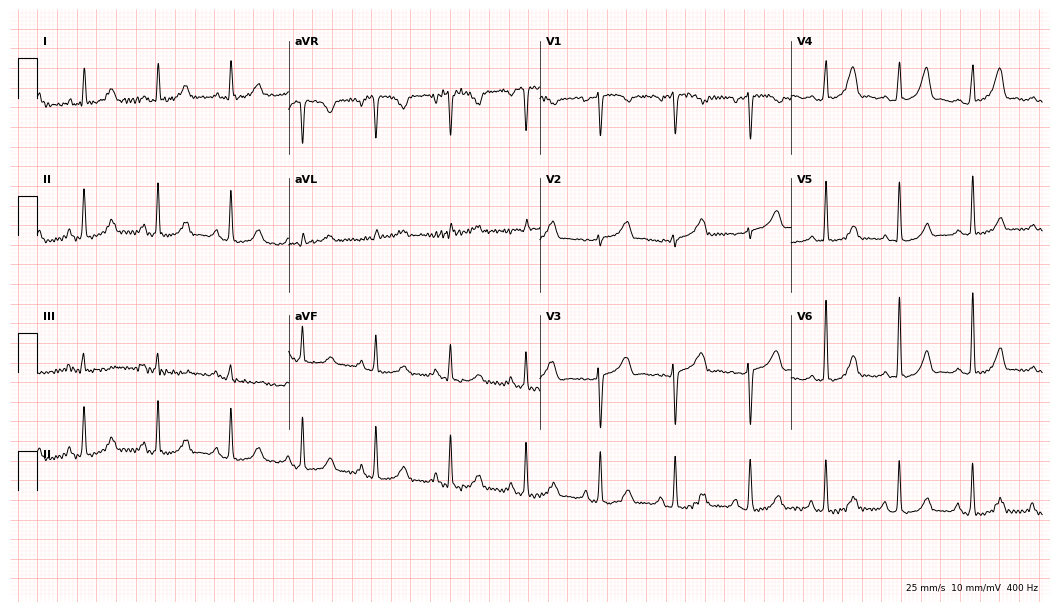
12-lead ECG from a female patient, 43 years old. Labelled as a normal ECG.